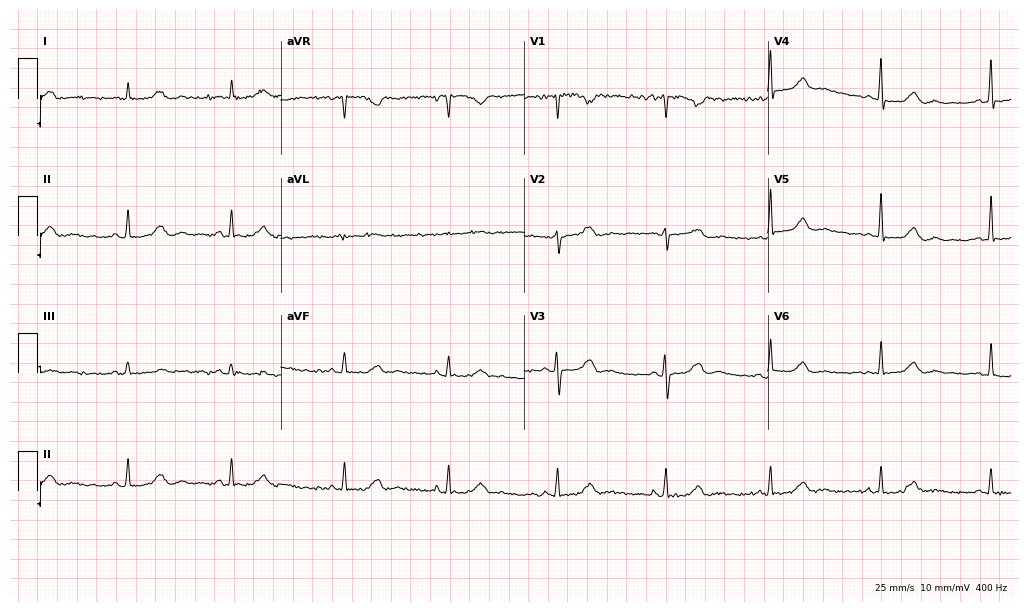
Standard 12-lead ECG recorded from a 78-year-old female (9.9-second recording at 400 Hz). None of these six findings is recorded: first-degree AV block, right bundle branch block, left bundle branch block, sinus bradycardia, atrial fibrillation, sinus tachycardia. Findings outside these six are not listed.